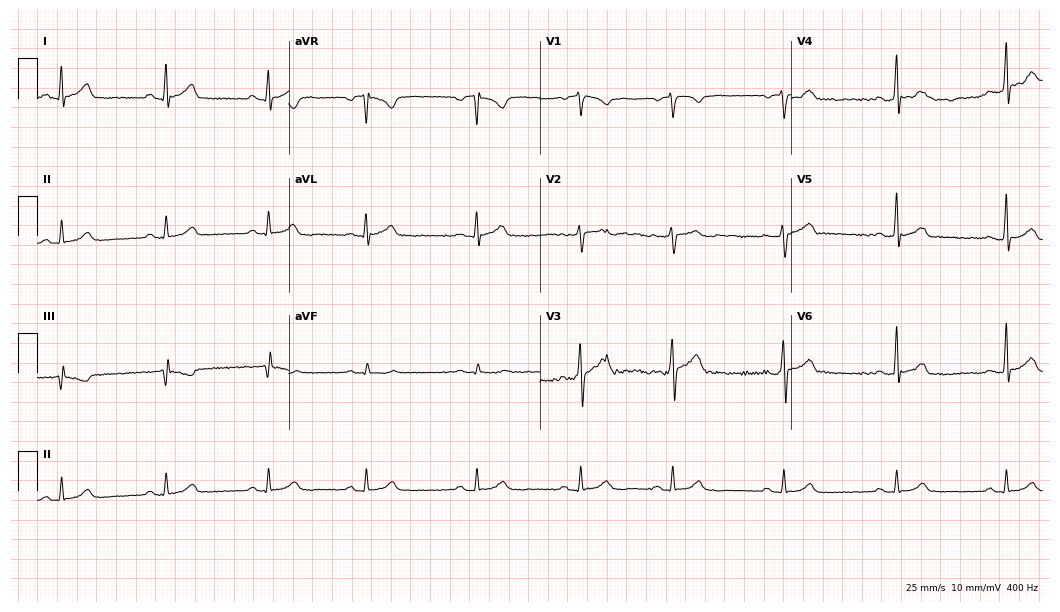
12-lead ECG from a 35-year-old male patient. Recorded interpretation: within normal limits.